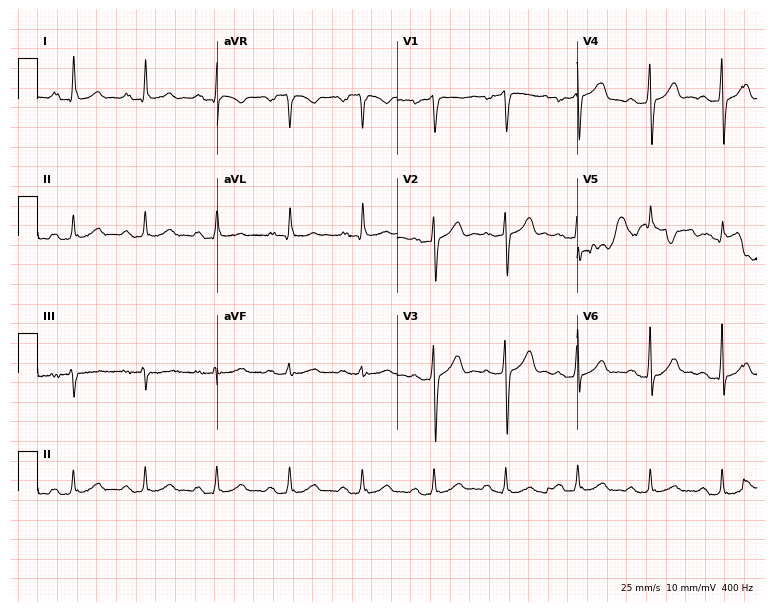
12-lead ECG (7.3-second recording at 400 Hz) from a 31-year-old female patient. Labelled as a normal ECG.